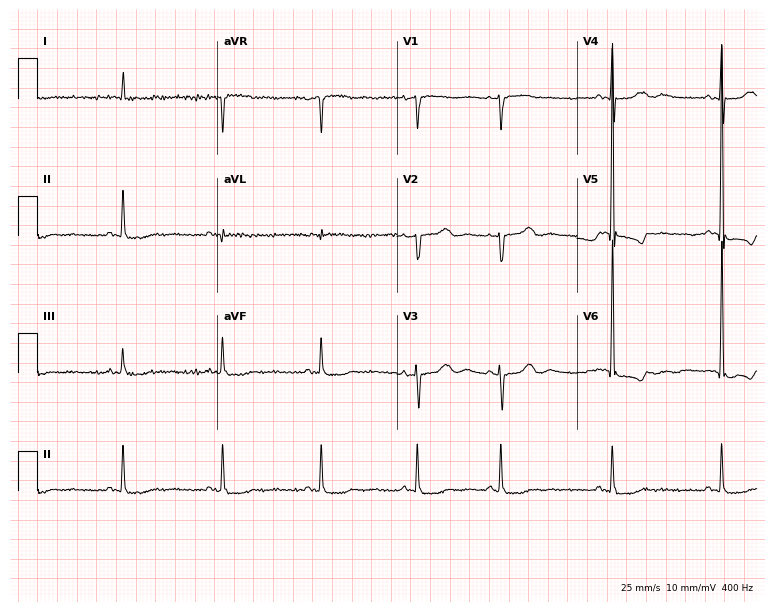
12-lead ECG from an 84-year-old male (7.3-second recording at 400 Hz). No first-degree AV block, right bundle branch block, left bundle branch block, sinus bradycardia, atrial fibrillation or sinus tachycardia recorded for this tracing.